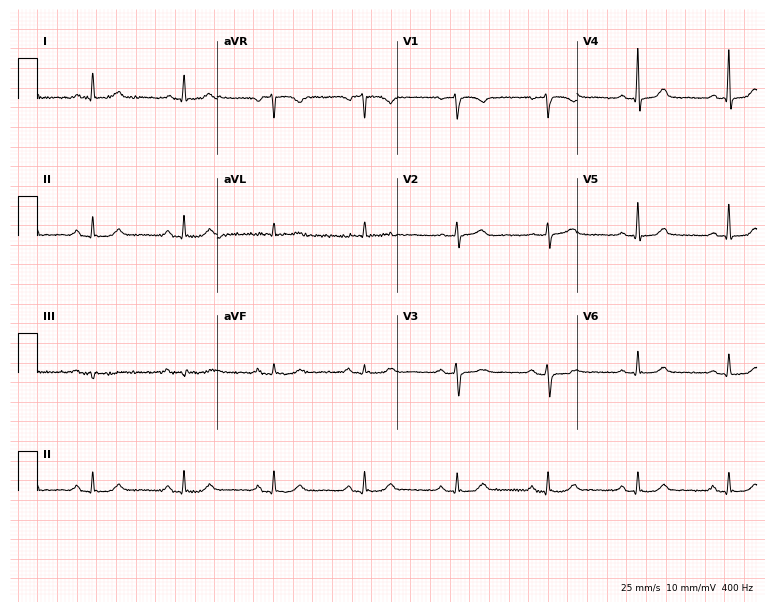
ECG — a 76-year-old female patient. Labelled as a normal ECG.